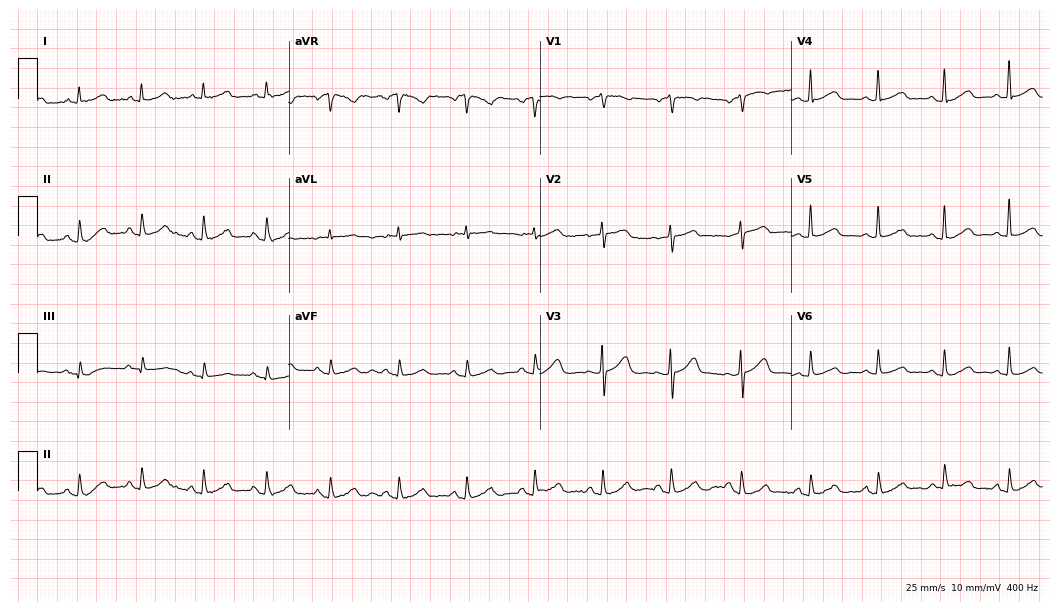
ECG — a 60-year-old woman. Labelled as a normal ECG.